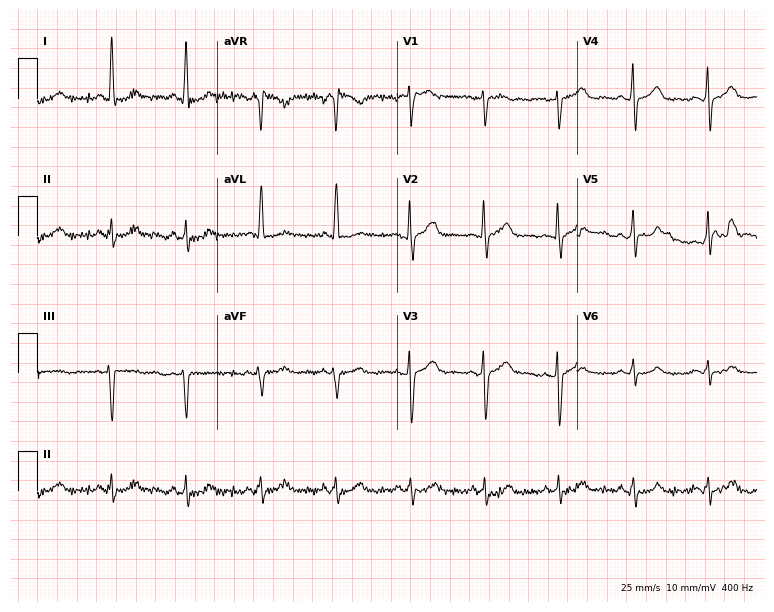
Standard 12-lead ECG recorded from a female patient, 54 years old. Read as a normal ECG.